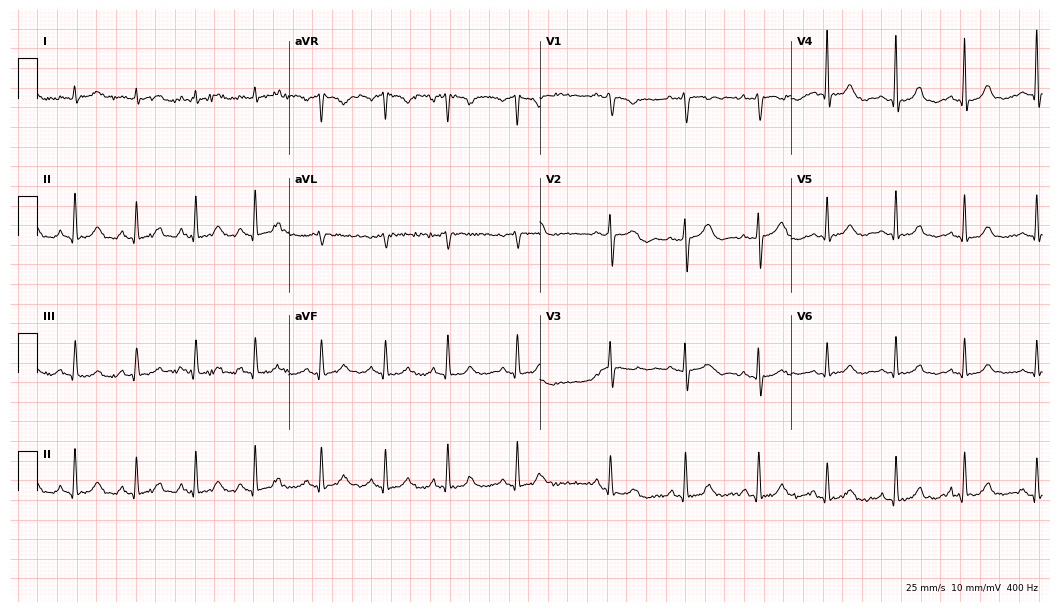
Resting 12-lead electrocardiogram. Patient: a 74-year-old female. Read as a normal ECG.